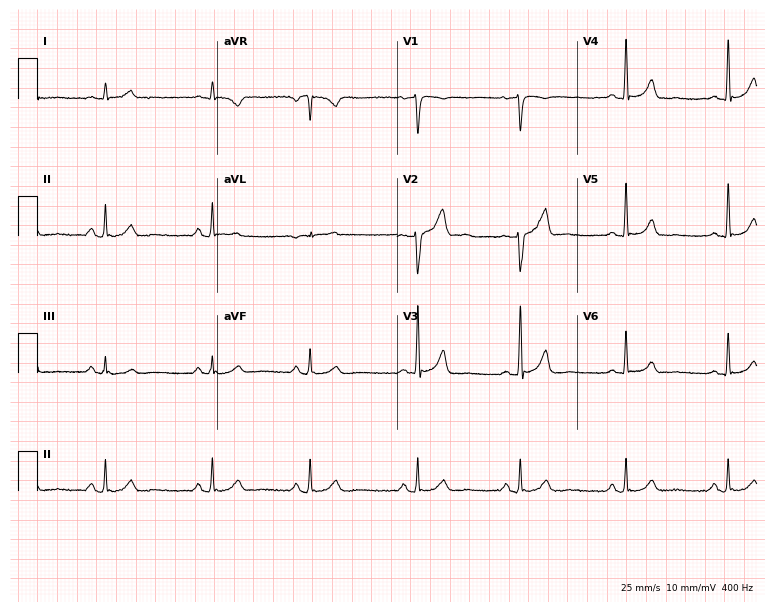
Electrocardiogram (7.3-second recording at 400 Hz), a 49-year-old man. Overall reading on record: normal ECG.